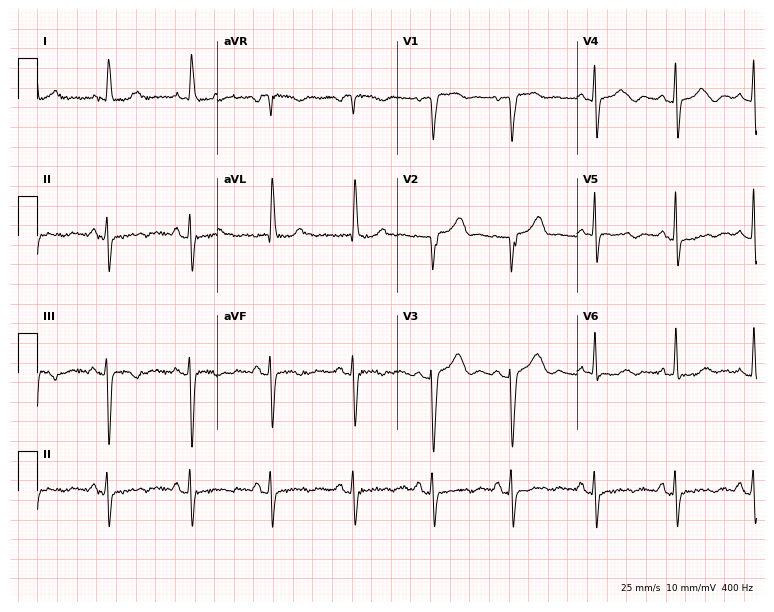
12-lead ECG from a female patient, 82 years old (7.3-second recording at 400 Hz). No first-degree AV block, right bundle branch block (RBBB), left bundle branch block (LBBB), sinus bradycardia, atrial fibrillation (AF) or sinus tachycardia recorded for this tracing.